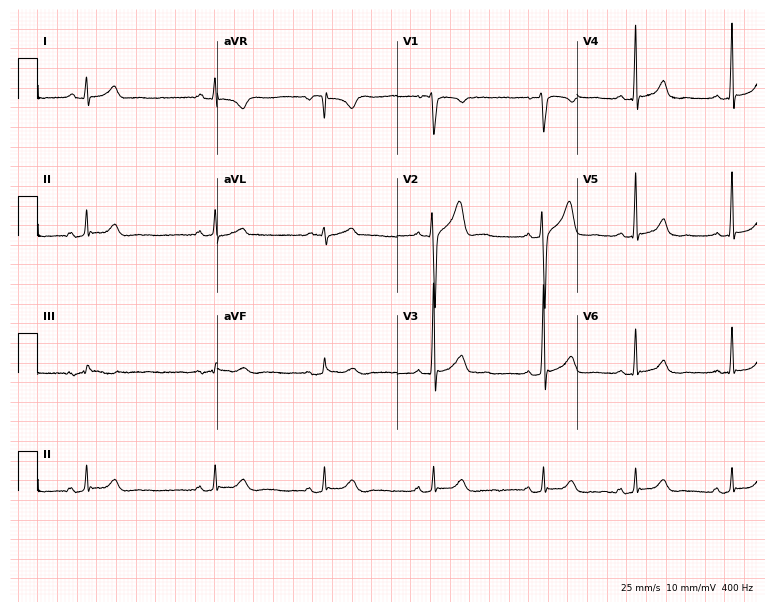
12-lead ECG from a male patient, 25 years old. Labelled as a normal ECG.